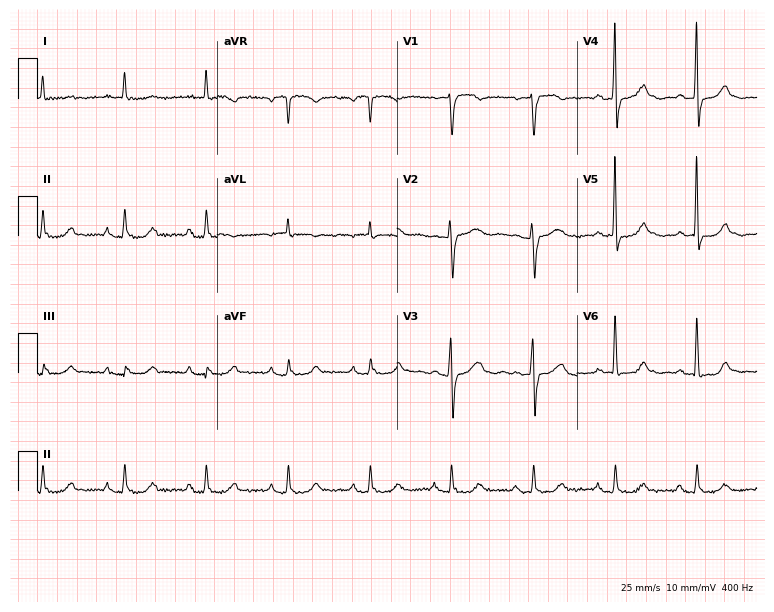
ECG (7.3-second recording at 400 Hz) — a woman, 77 years old. Screened for six findings — first-degree AV block, right bundle branch block (RBBB), left bundle branch block (LBBB), sinus bradycardia, atrial fibrillation (AF), sinus tachycardia — none is recorded.